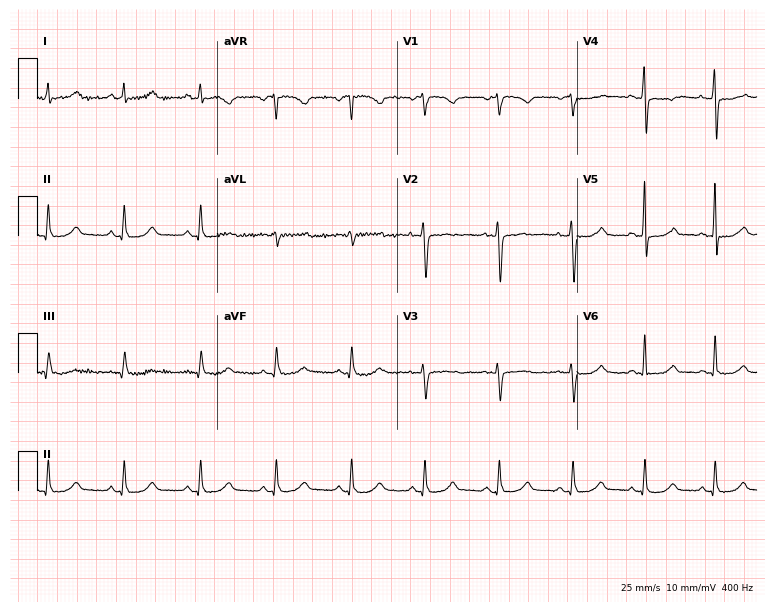
Resting 12-lead electrocardiogram (7.3-second recording at 400 Hz). Patient: a female, 50 years old. None of these six findings is recorded: first-degree AV block, right bundle branch block, left bundle branch block, sinus bradycardia, atrial fibrillation, sinus tachycardia. Findings outside these six are not listed.